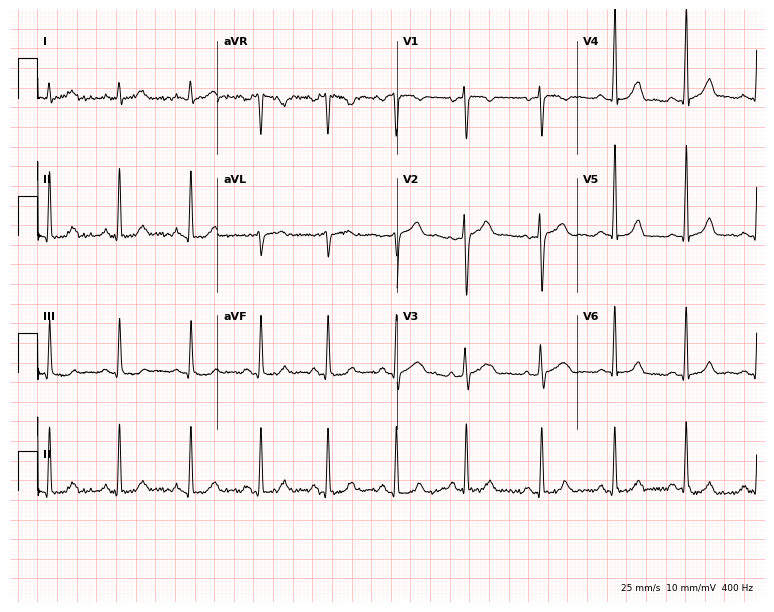
Resting 12-lead electrocardiogram. Patient: a 27-year-old female. Read as a normal ECG.